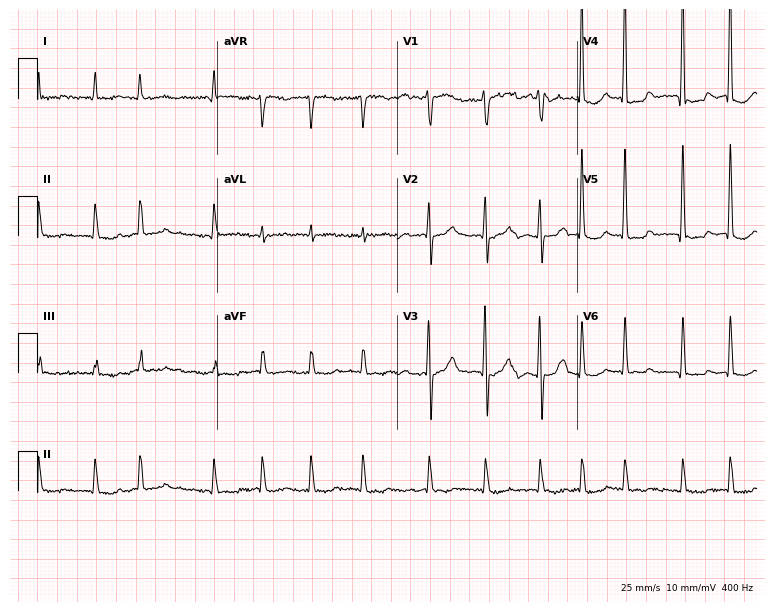
ECG (7.3-second recording at 400 Hz) — a male, 76 years old. Findings include atrial fibrillation.